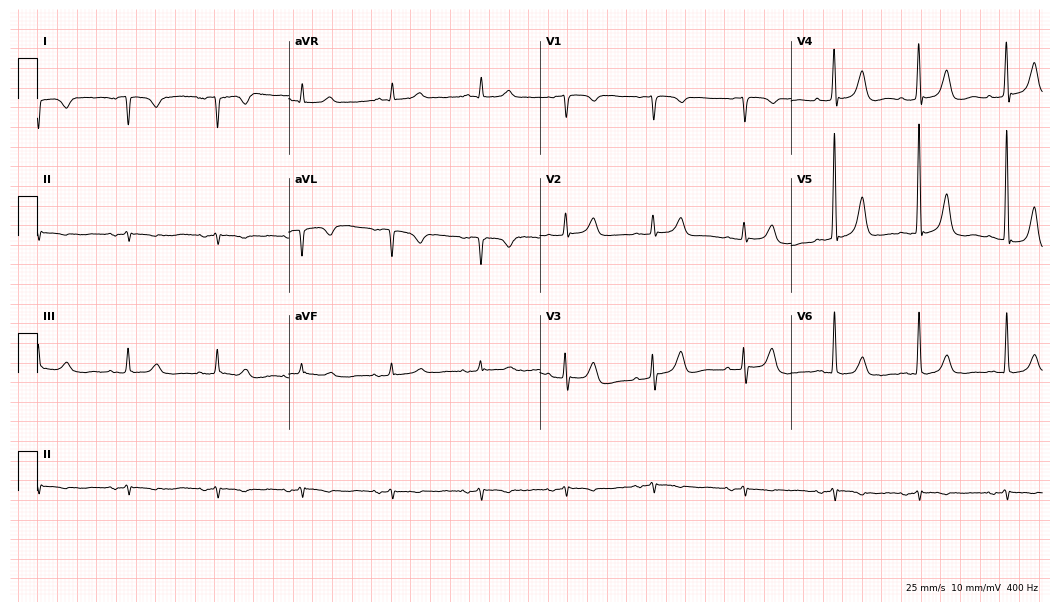
Electrocardiogram (10.2-second recording at 400 Hz), a female patient, 84 years old. Of the six screened findings (first-degree AV block, right bundle branch block, left bundle branch block, sinus bradycardia, atrial fibrillation, sinus tachycardia), none is recorded. Only these six findings were labelled.